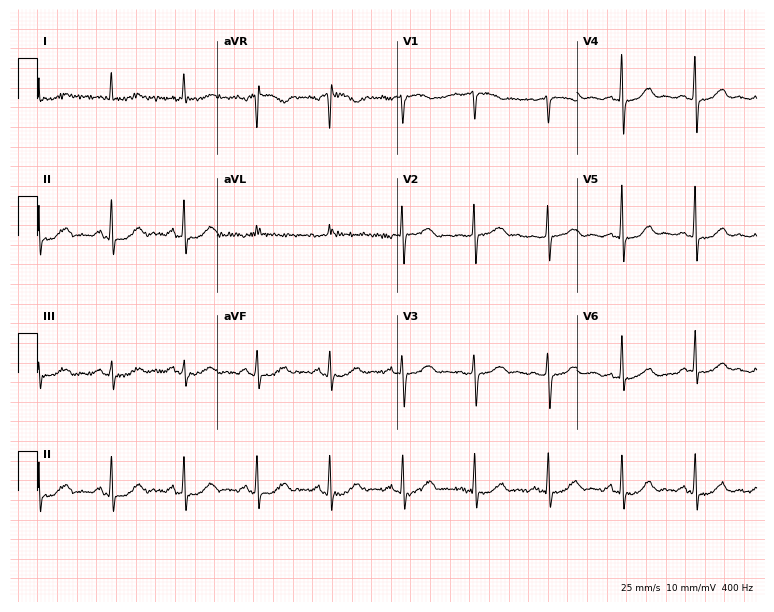
12-lead ECG from a female, 69 years old. Recorded interpretation: within normal limits.